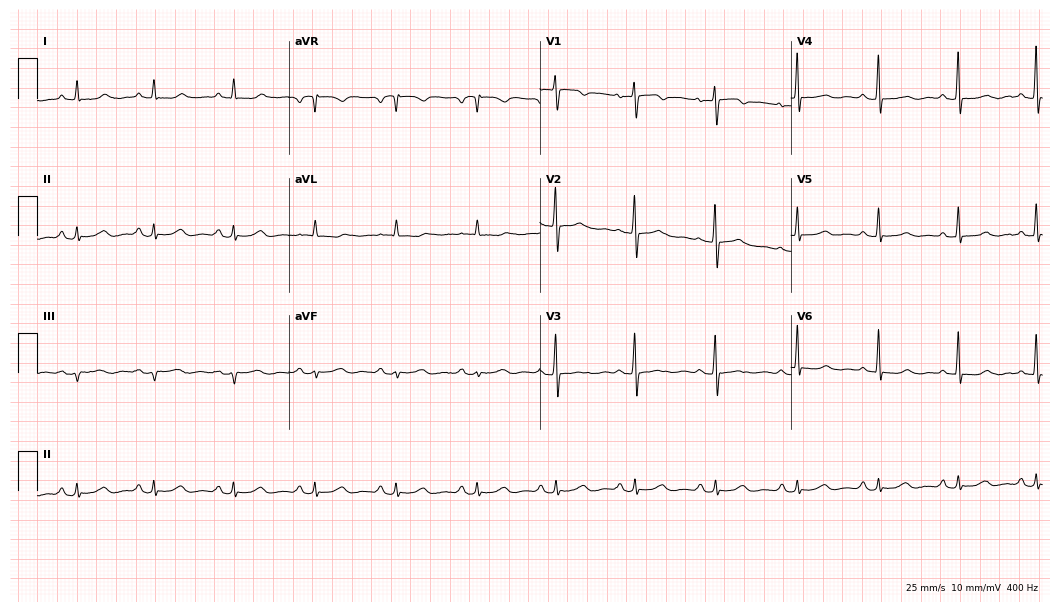
12-lead ECG from a 70-year-old woman (10.2-second recording at 400 Hz). No first-degree AV block, right bundle branch block, left bundle branch block, sinus bradycardia, atrial fibrillation or sinus tachycardia recorded for this tracing.